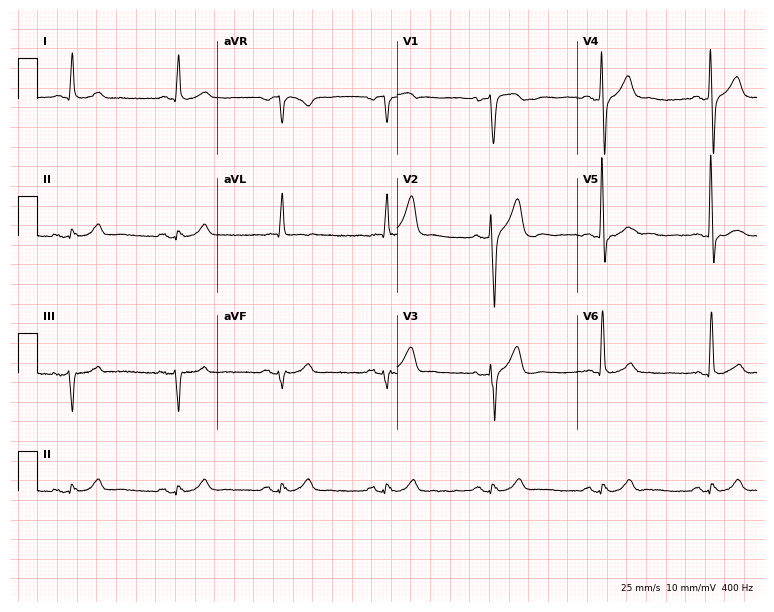
Standard 12-lead ECG recorded from a man, 62 years old (7.3-second recording at 400 Hz). Read as a normal ECG.